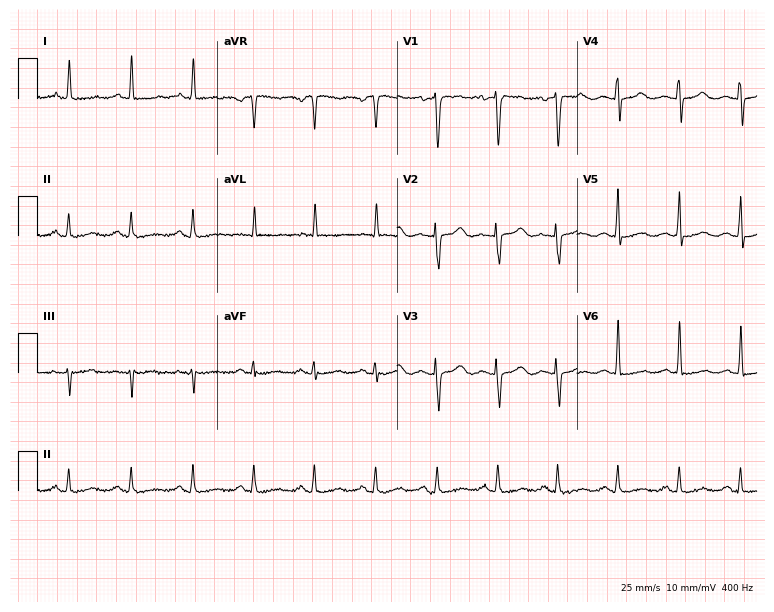
12-lead ECG from a 35-year-old female patient. No first-degree AV block, right bundle branch block (RBBB), left bundle branch block (LBBB), sinus bradycardia, atrial fibrillation (AF) or sinus tachycardia recorded for this tracing.